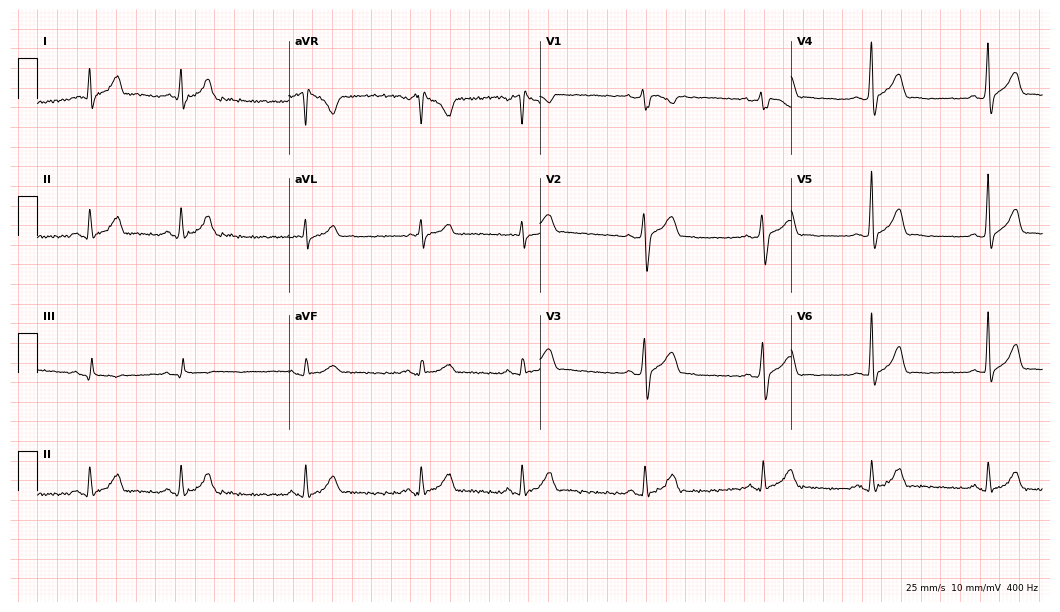
Electrocardiogram, a male, 24 years old. Overall reading on record: normal ECG.